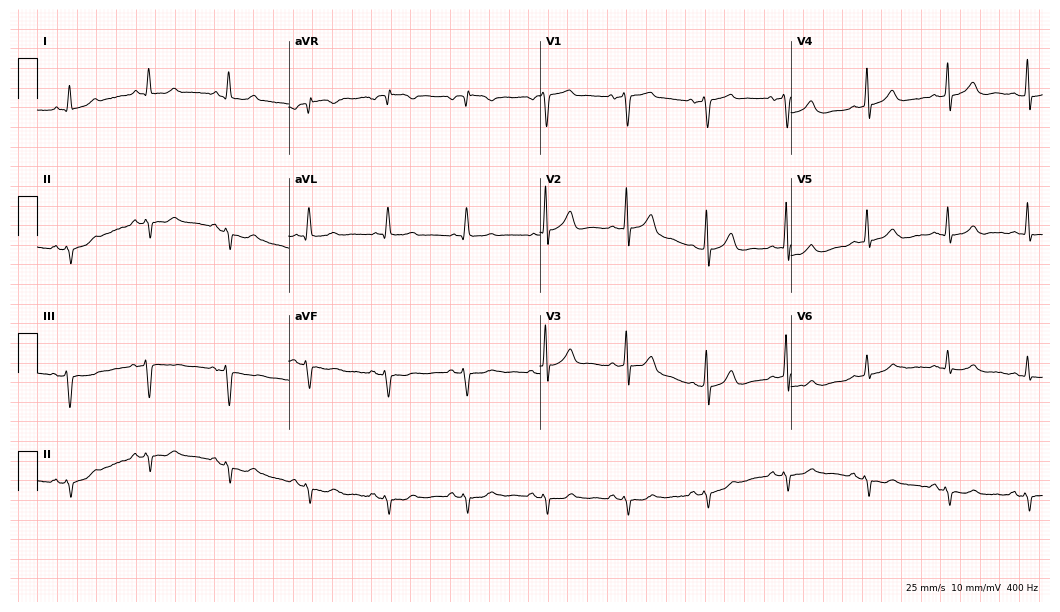
Standard 12-lead ECG recorded from a male, 78 years old. None of these six findings is recorded: first-degree AV block, right bundle branch block, left bundle branch block, sinus bradycardia, atrial fibrillation, sinus tachycardia. Findings outside these six are not listed.